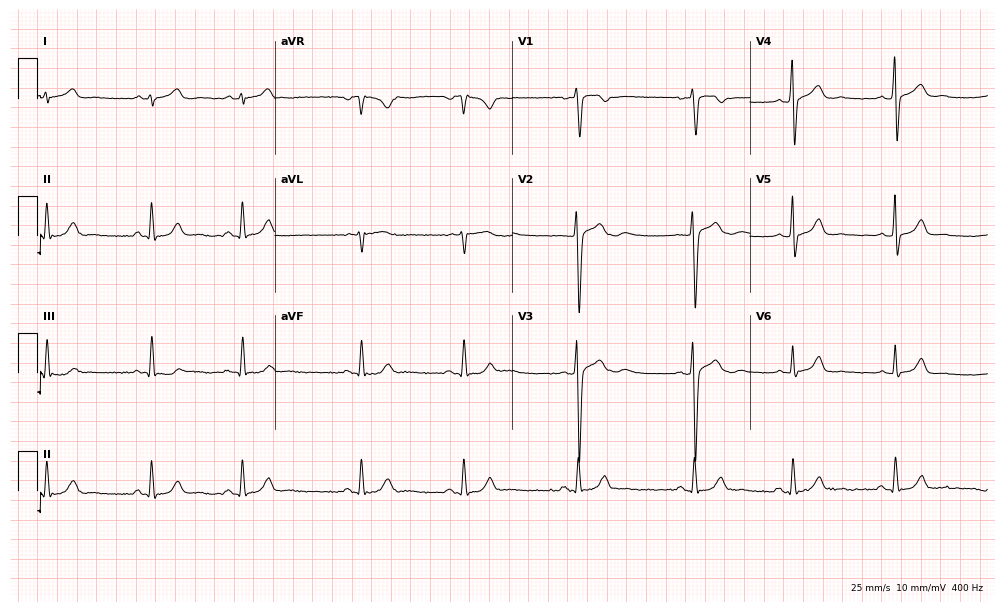
12-lead ECG (9.7-second recording at 400 Hz) from a male patient, 19 years old. Screened for six findings — first-degree AV block, right bundle branch block, left bundle branch block, sinus bradycardia, atrial fibrillation, sinus tachycardia — none is recorded.